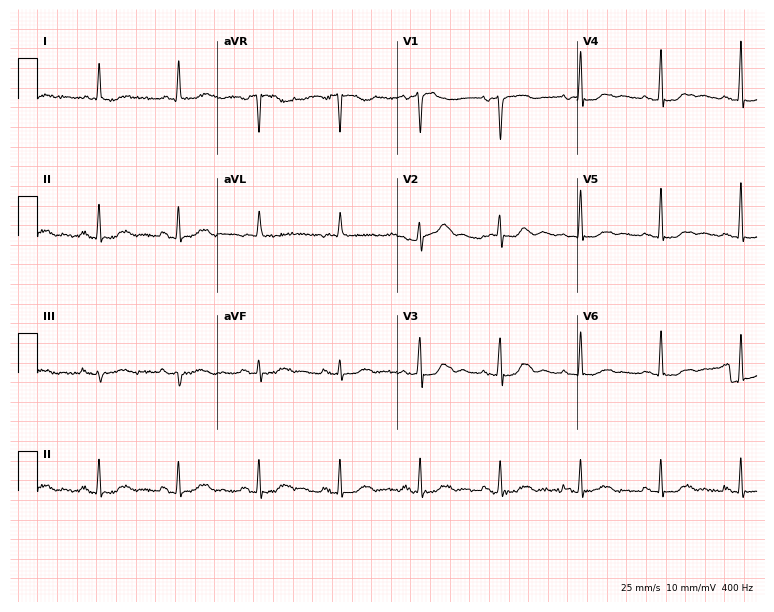
Electrocardiogram (7.3-second recording at 400 Hz), a 79-year-old woman. Overall reading on record: normal ECG.